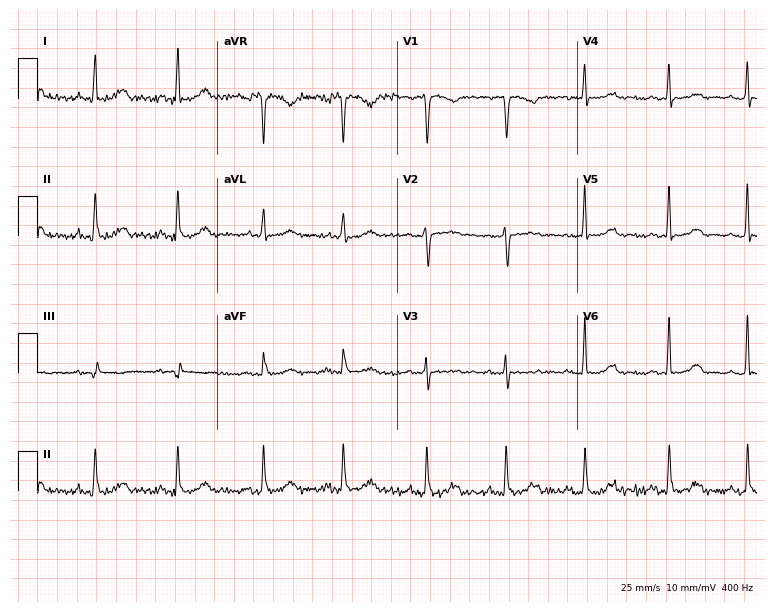
ECG — a 46-year-old woman. Labelled as a normal ECG.